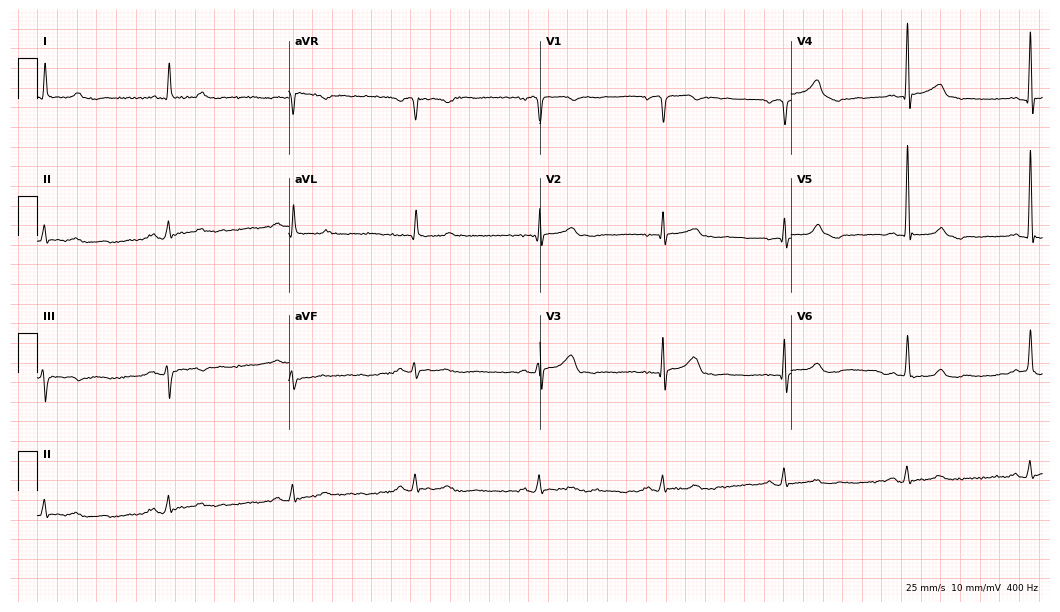
12-lead ECG from an 80-year-old man. Shows sinus bradycardia (a sinus rate of 50 beats per minute or less).